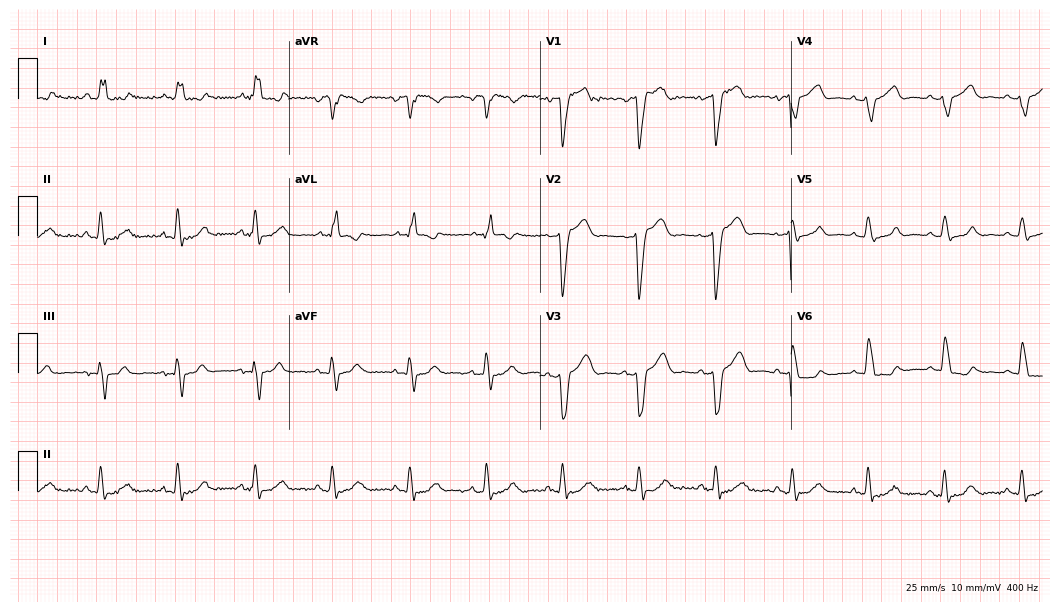
12-lead ECG from a female, 68 years old. Shows left bundle branch block (LBBB).